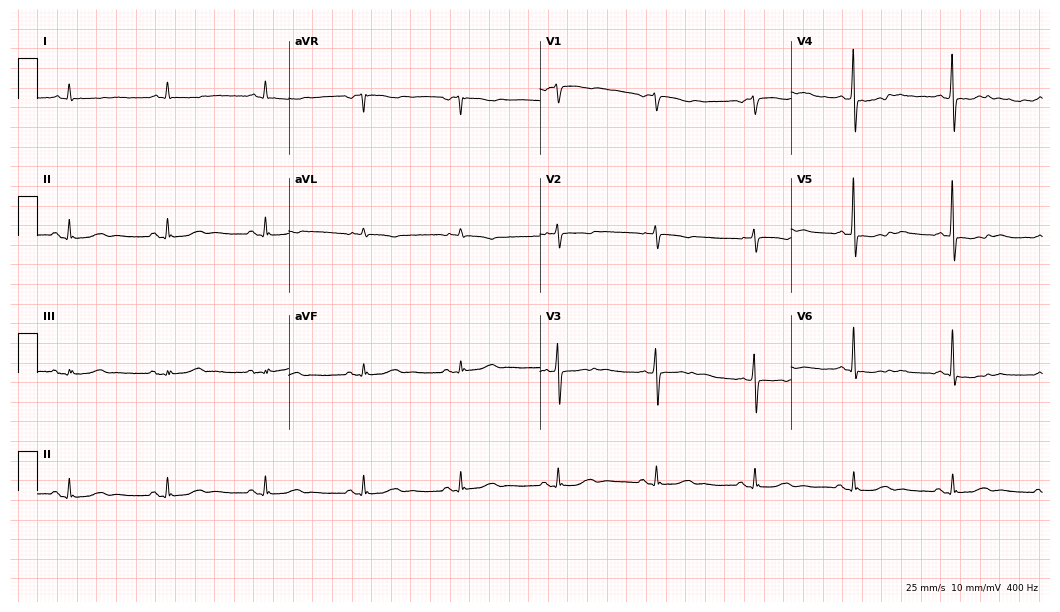
Standard 12-lead ECG recorded from a man, 80 years old (10.2-second recording at 400 Hz). None of these six findings is recorded: first-degree AV block, right bundle branch block, left bundle branch block, sinus bradycardia, atrial fibrillation, sinus tachycardia.